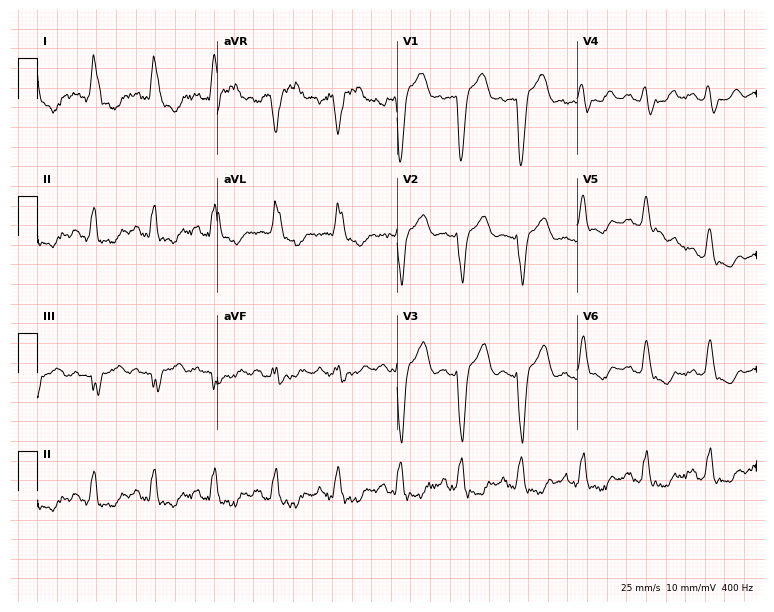
12-lead ECG from a female patient, 60 years old. Shows left bundle branch block.